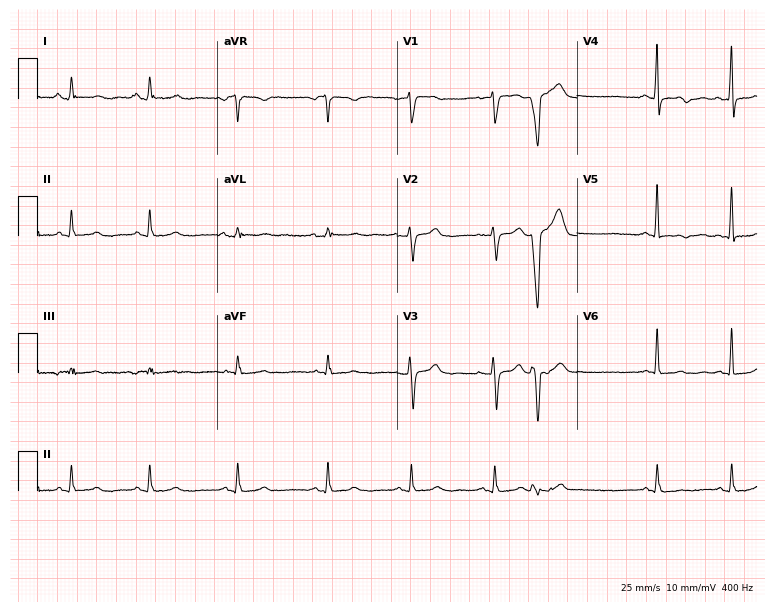
Standard 12-lead ECG recorded from a female, 49 years old (7.3-second recording at 400 Hz). None of these six findings is recorded: first-degree AV block, right bundle branch block, left bundle branch block, sinus bradycardia, atrial fibrillation, sinus tachycardia. Findings outside these six are not listed.